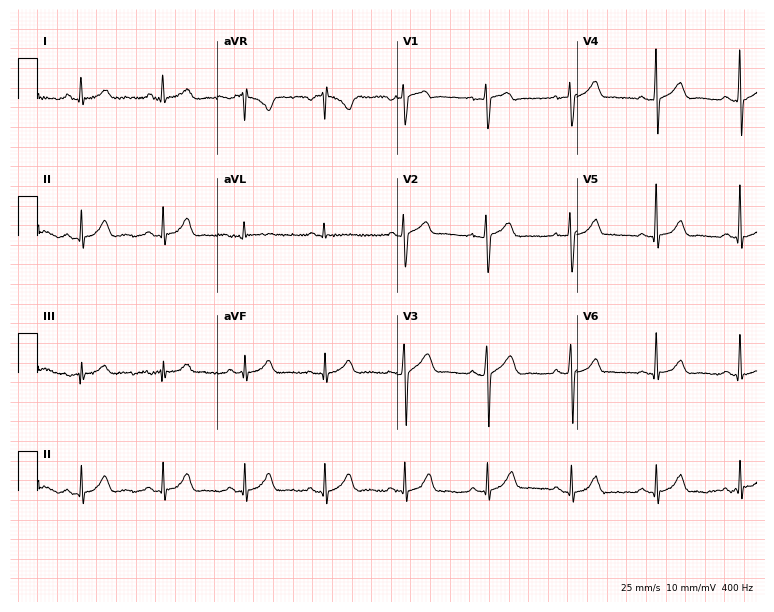
Electrocardiogram (7.3-second recording at 400 Hz), a man, 37 years old. Overall reading on record: normal ECG.